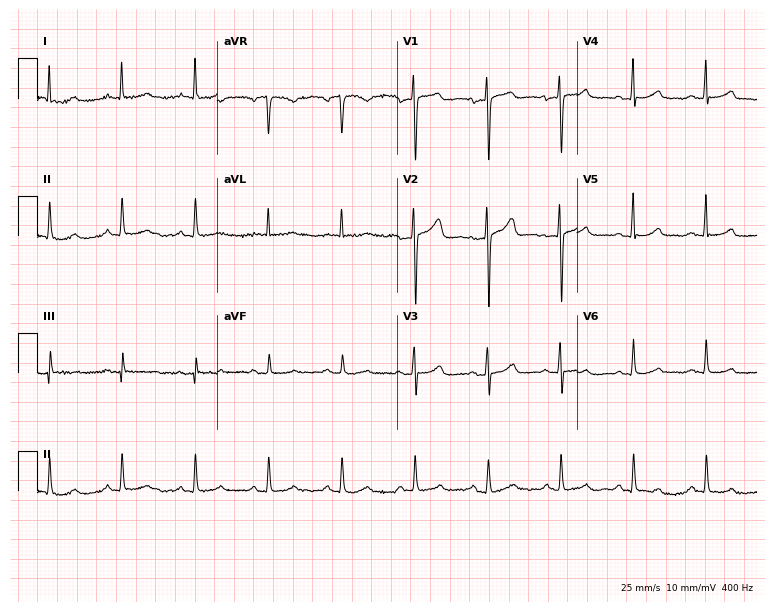
ECG — a female, 52 years old. Labelled as a normal ECG.